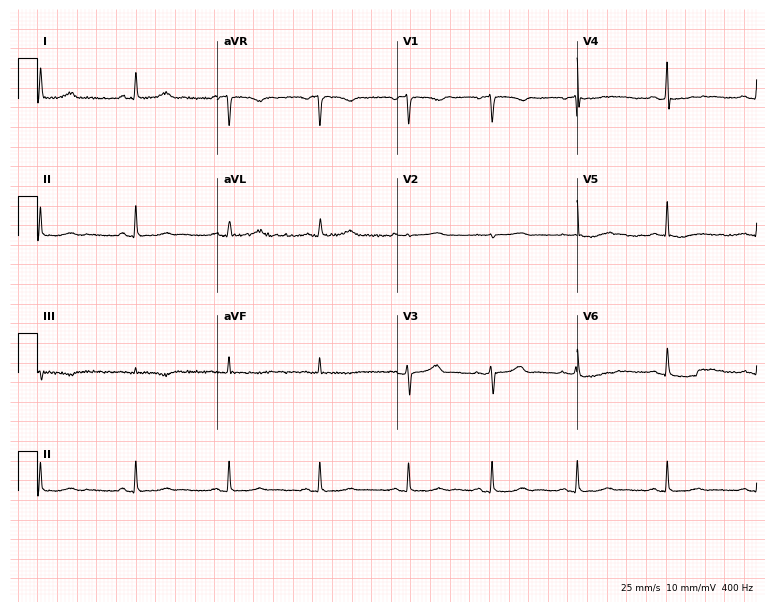
Standard 12-lead ECG recorded from a female, 44 years old. None of these six findings is recorded: first-degree AV block, right bundle branch block, left bundle branch block, sinus bradycardia, atrial fibrillation, sinus tachycardia. Only these six findings were labelled.